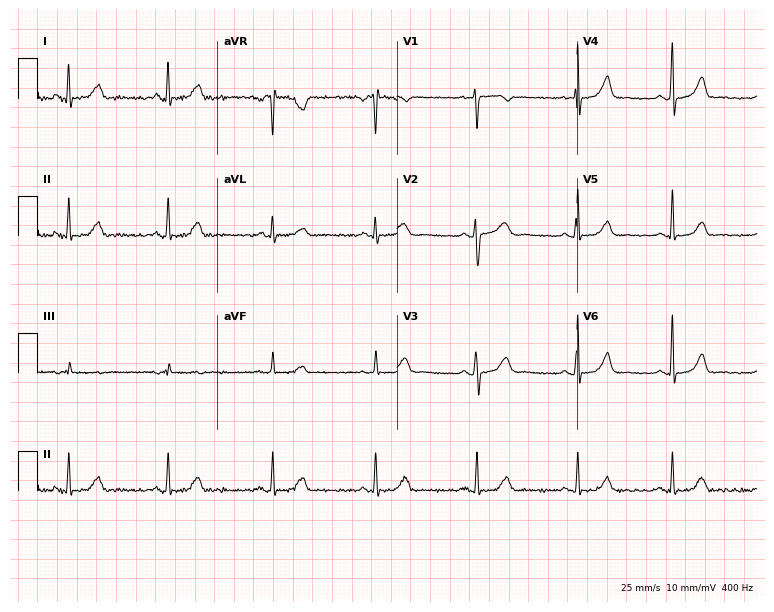
12-lead ECG (7.3-second recording at 400 Hz) from a female patient, 32 years old. Labelled as a normal ECG.